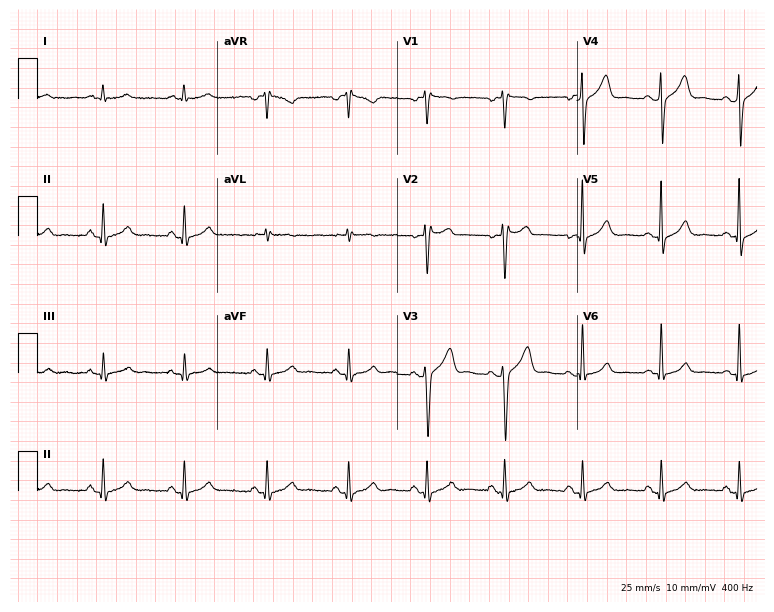
ECG — a man, 52 years old. Labelled as a normal ECG.